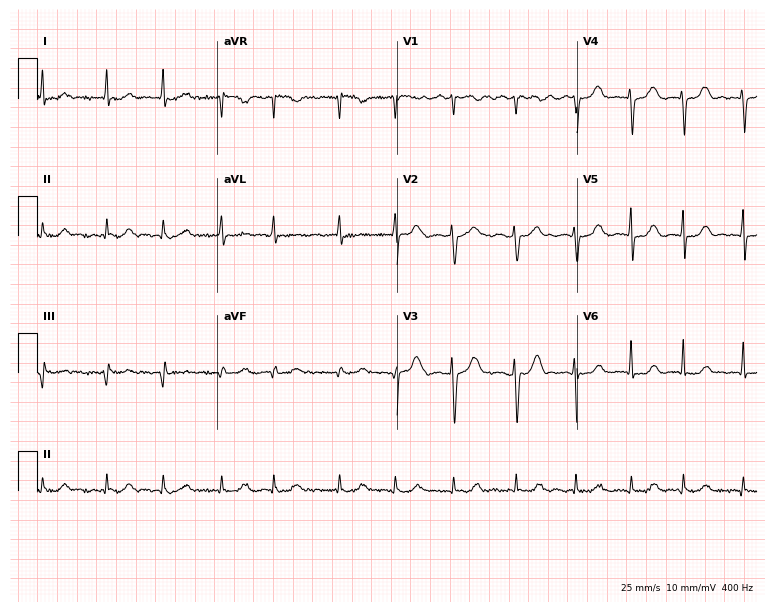
ECG (7.3-second recording at 400 Hz) — an 84-year-old female. Findings include atrial fibrillation (AF).